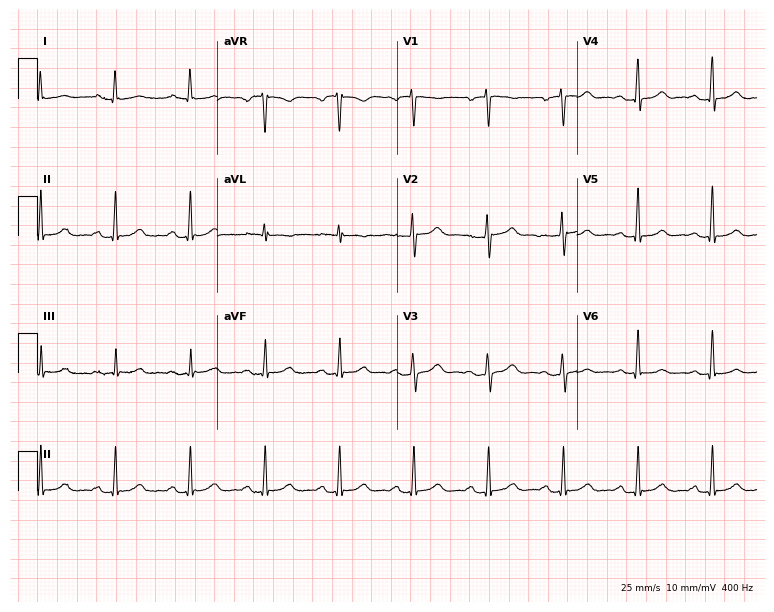
Standard 12-lead ECG recorded from a female patient, 69 years old (7.3-second recording at 400 Hz). Read as a normal ECG.